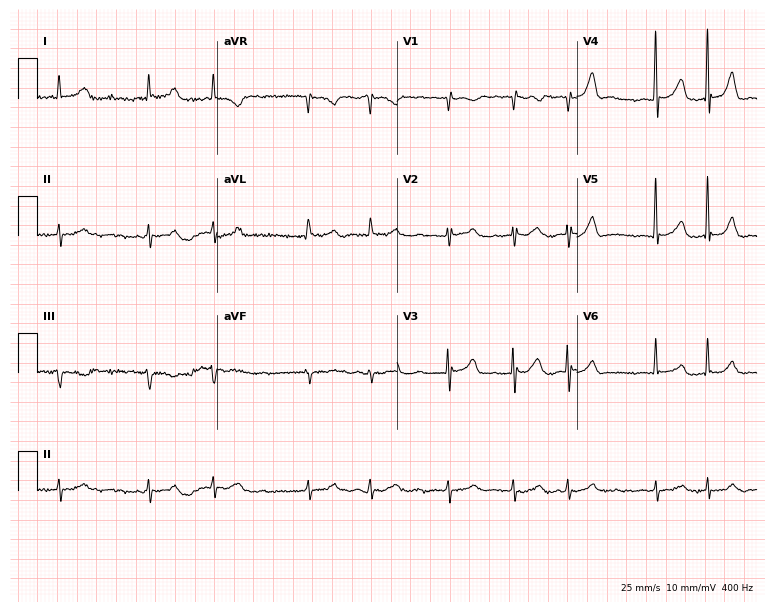
Standard 12-lead ECG recorded from a 78-year-old man (7.3-second recording at 400 Hz). The tracing shows atrial fibrillation.